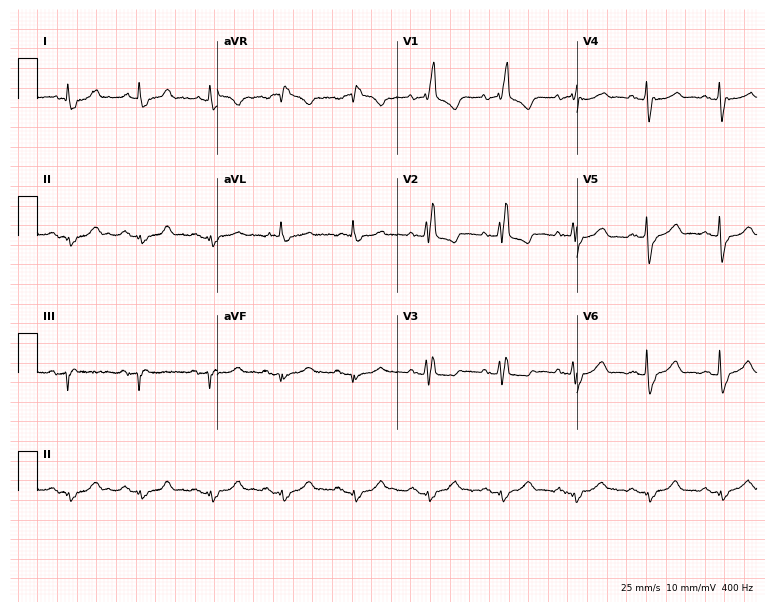
ECG — an 83-year-old male patient. Findings include right bundle branch block.